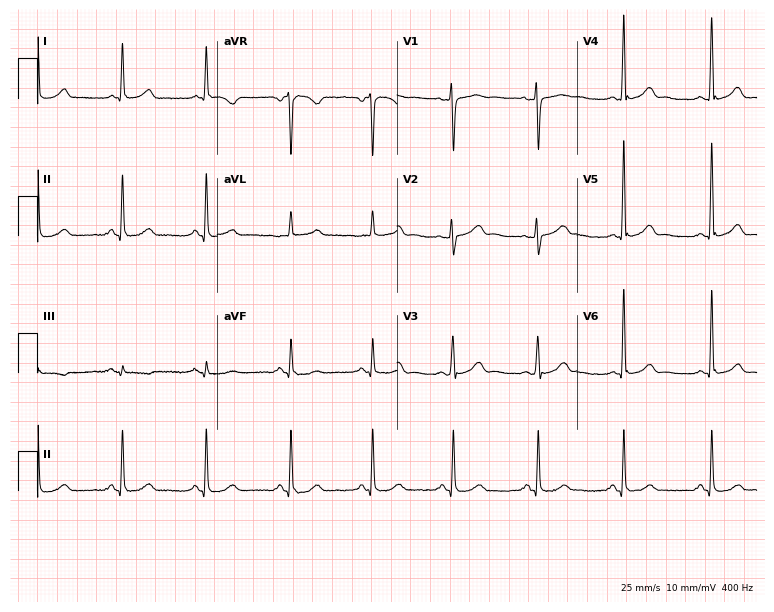
ECG — a 54-year-old woman. Labelled as a normal ECG.